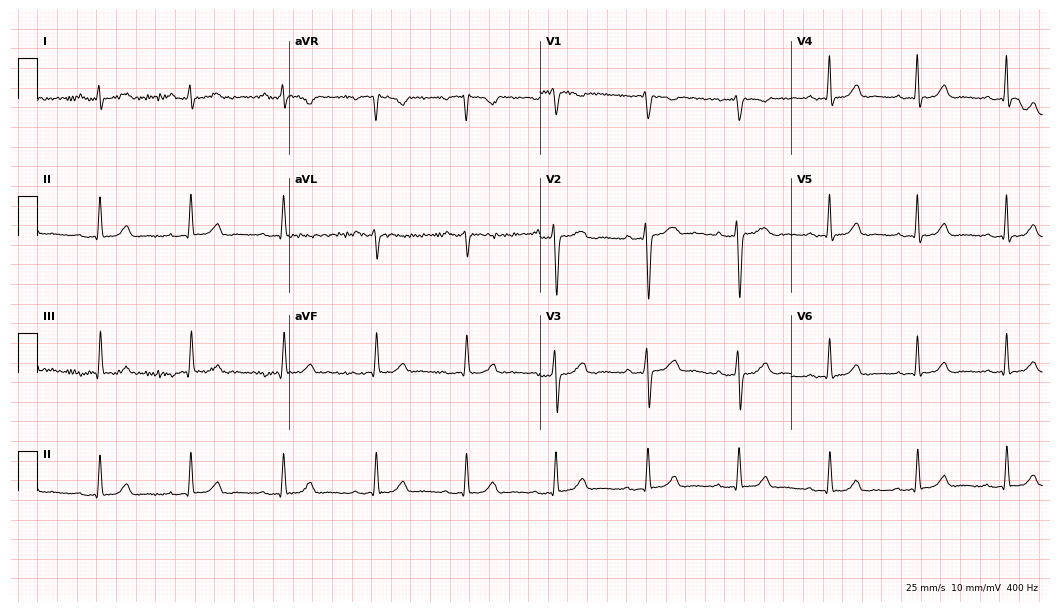
12-lead ECG from a 29-year-old female. No first-degree AV block, right bundle branch block, left bundle branch block, sinus bradycardia, atrial fibrillation or sinus tachycardia recorded for this tracing.